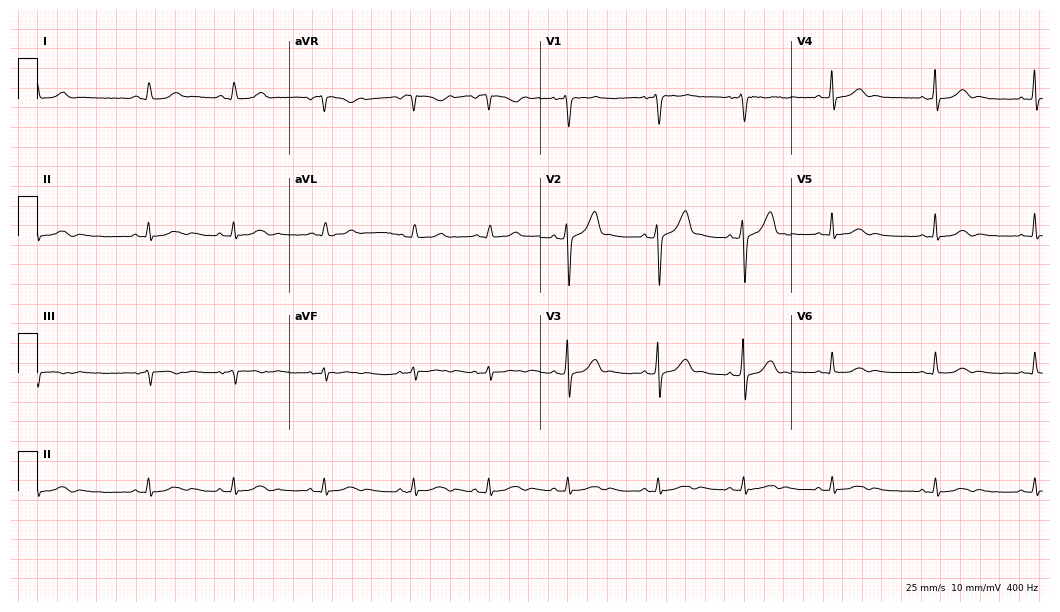
12-lead ECG from a female patient, 23 years old (10.2-second recording at 400 Hz). No first-degree AV block, right bundle branch block, left bundle branch block, sinus bradycardia, atrial fibrillation or sinus tachycardia recorded for this tracing.